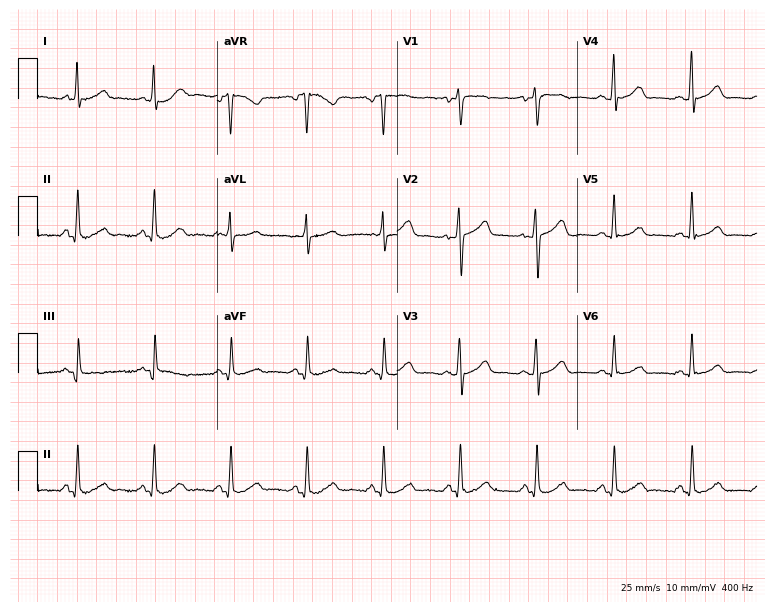
Resting 12-lead electrocardiogram. Patient: a woman, 45 years old. None of these six findings is recorded: first-degree AV block, right bundle branch block, left bundle branch block, sinus bradycardia, atrial fibrillation, sinus tachycardia. Other findings, if any, are not listed.